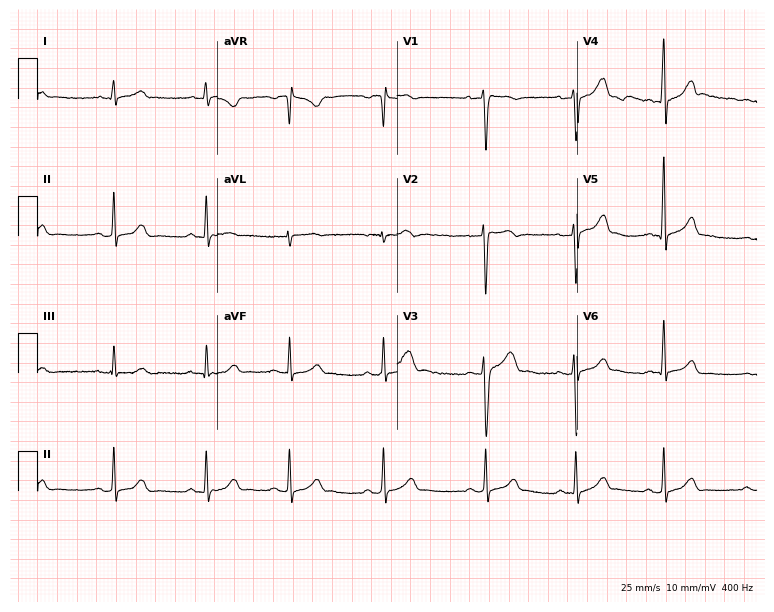
12-lead ECG from a 22-year-old male patient. Recorded interpretation: within normal limits.